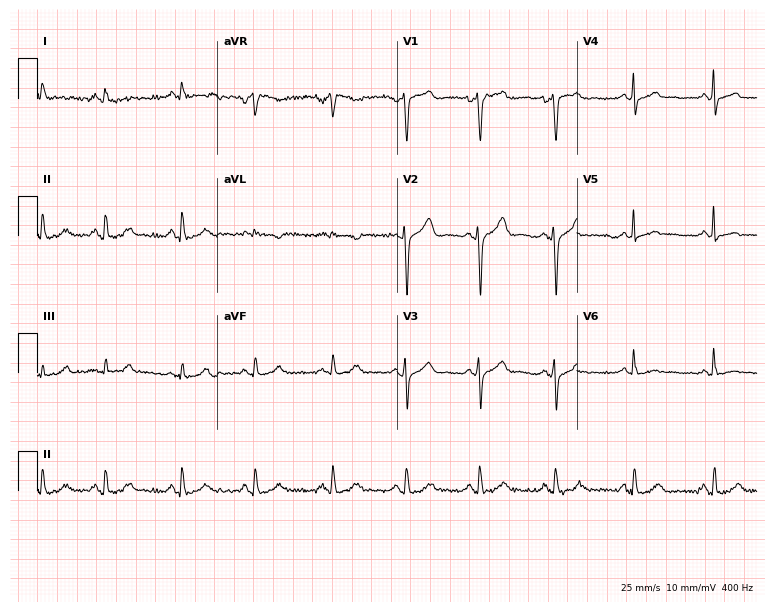
12-lead ECG from a 57-year-old female patient. Screened for six findings — first-degree AV block, right bundle branch block, left bundle branch block, sinus bradycardia, atrial fibrillation, sinus tachycardia — none is recorded. Only these six findings were labelled.